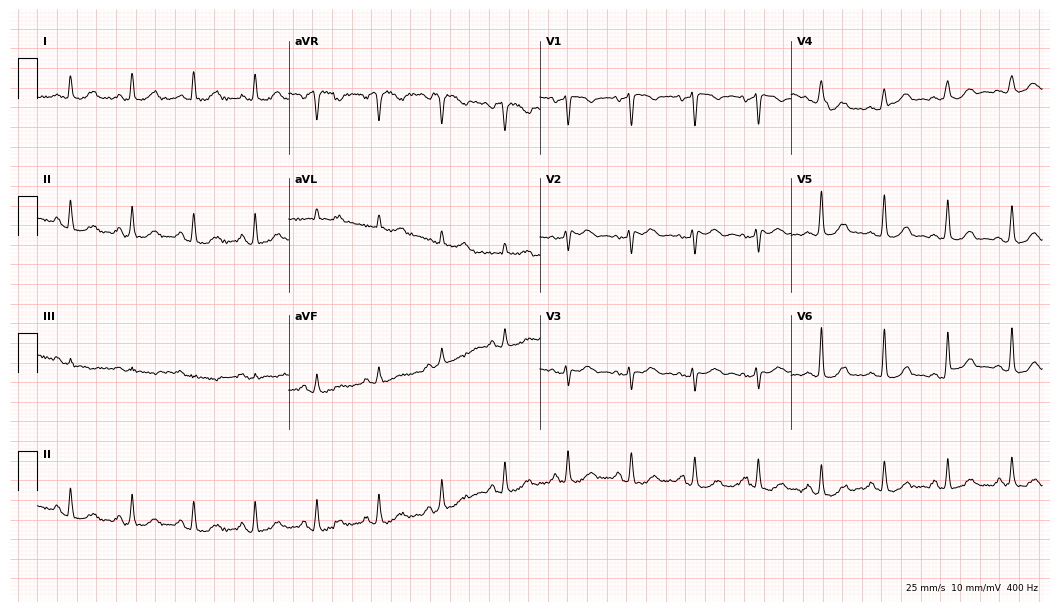
12-lead ECG from a 50-year-old woman (10.2-second recording at 400 Hz). No first-degree AV block, right bundle branch block, left bundle branch block, sinus bradycardia, atrial fibrillation or sinus tachycardia recorded for this tracing. Only these six findings were labelled.